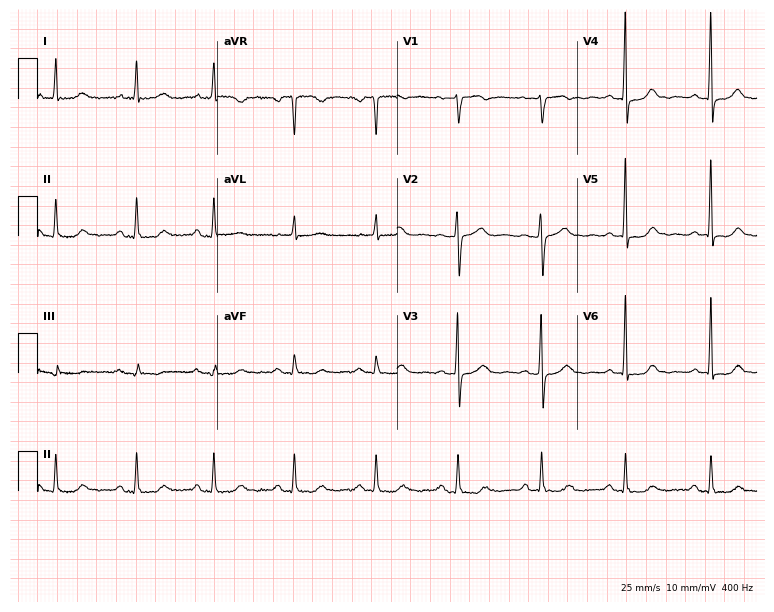
Standard 12-lead ECG recorded from a 69-year-old female. Read as a normal ECG.